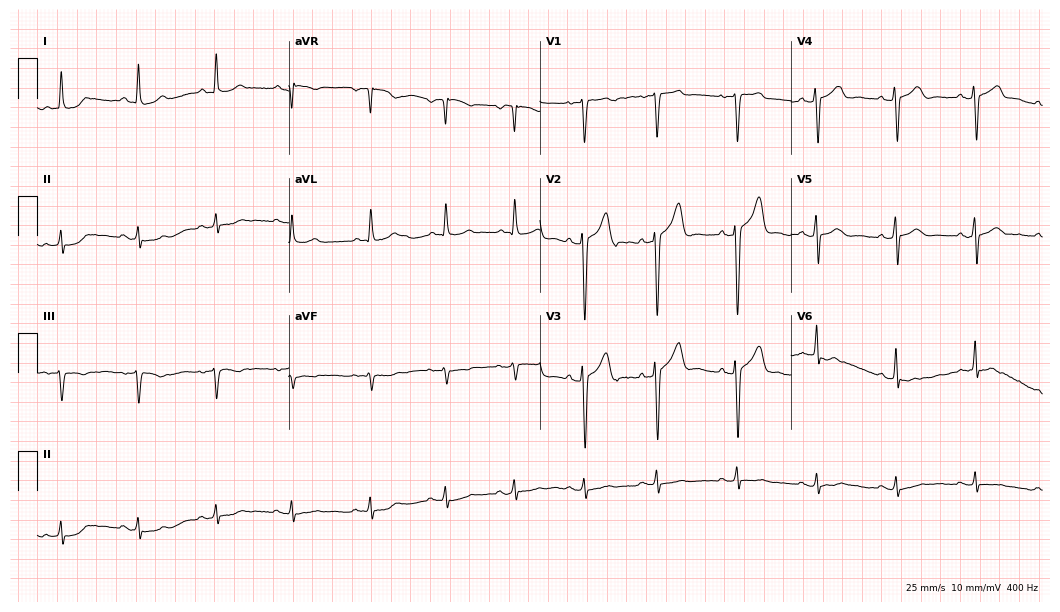
12-lead ECG from a 35-year-old male patient. No first-degree AV block, right bundle branch block, left bundle branch block, sinus bradycardia, atrial fibrillation or sinus tachycardia recorded for this tracing.